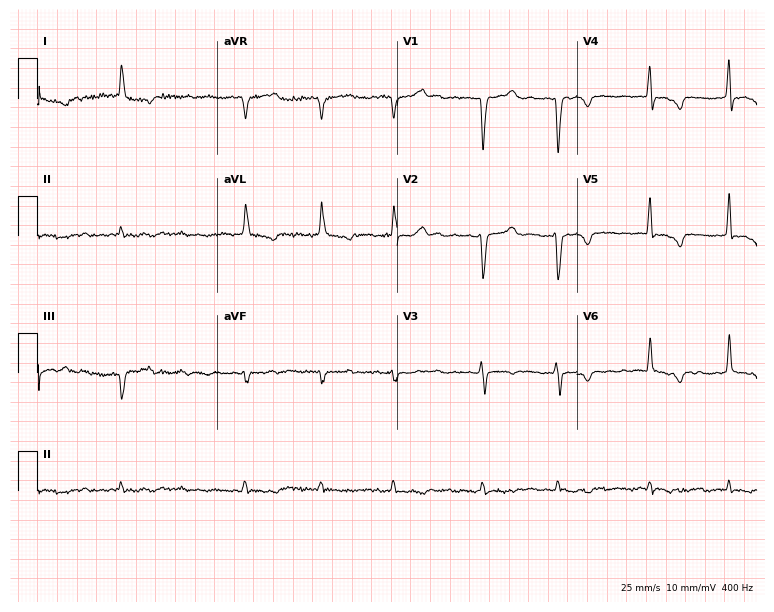
12-lead ECG from a 75-year-old woman. Shows atrial fibrillation (AF).